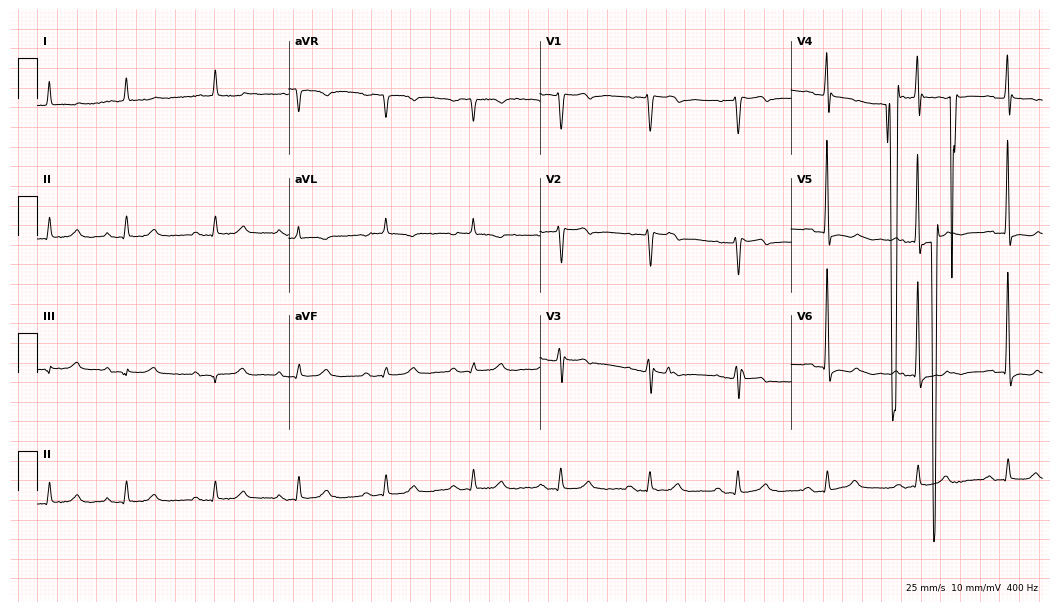
ECG (10.2-second recording at 400 Hz) — a man, 84 years old. Labelled as a normal ECG.